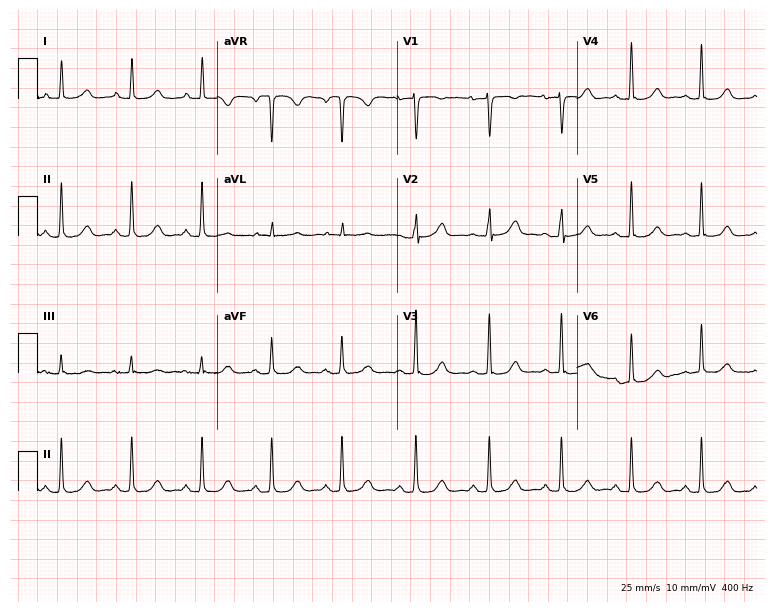
Electrocardiogram, a female patient, 57 years old. Overall reading on record: normal ECG.